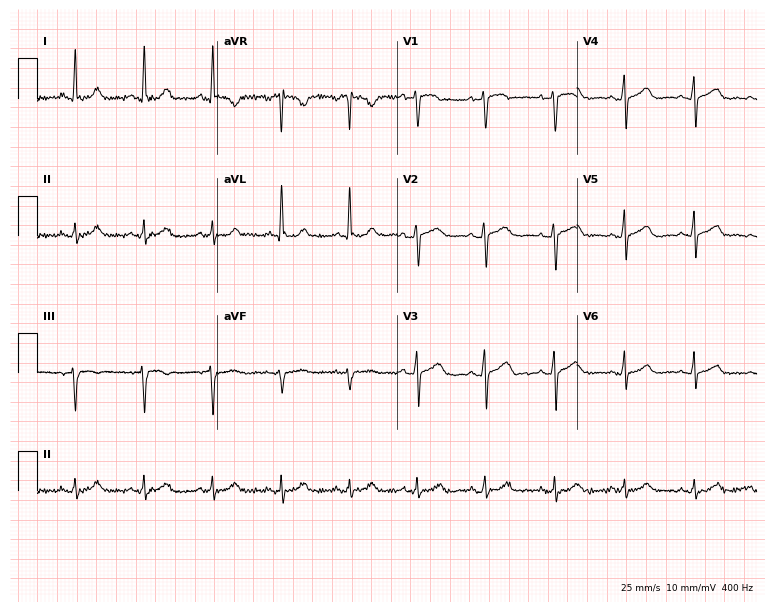
Resting 12-lead electrocardiogram (7.3-second recording at 400 Hz). Patient: a 58-year-old female. Read as a normal ECG.